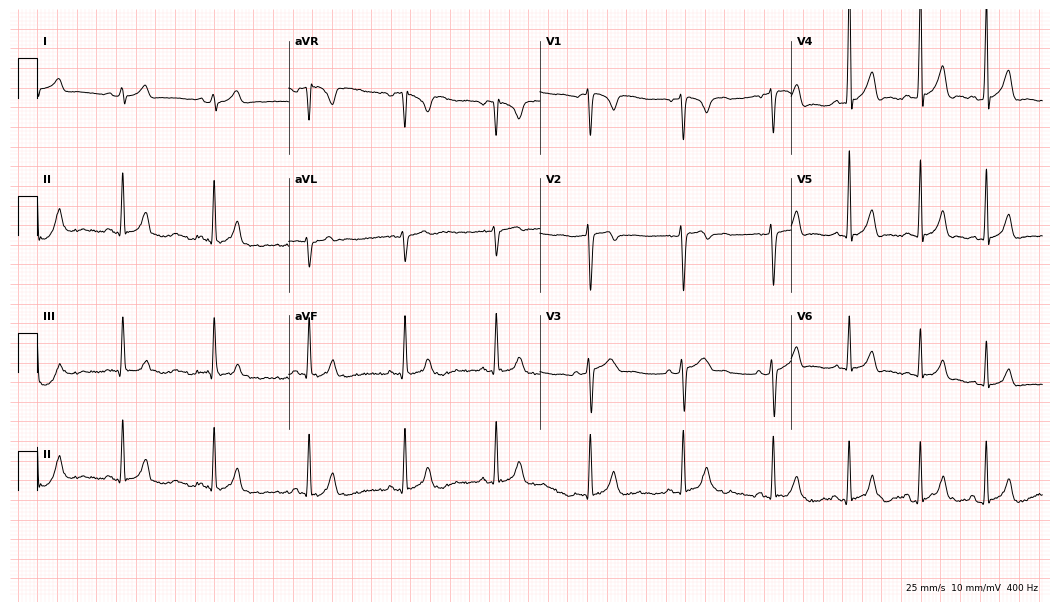
Resting 12-lead electrocardiogram. Patient: a male, 18 years old. None of these six findings is recorded: first-degree AV block, right bundle branch block, left bundle branch block, sinus bradycardia, atrial fibrillation, sinus tachycardia.